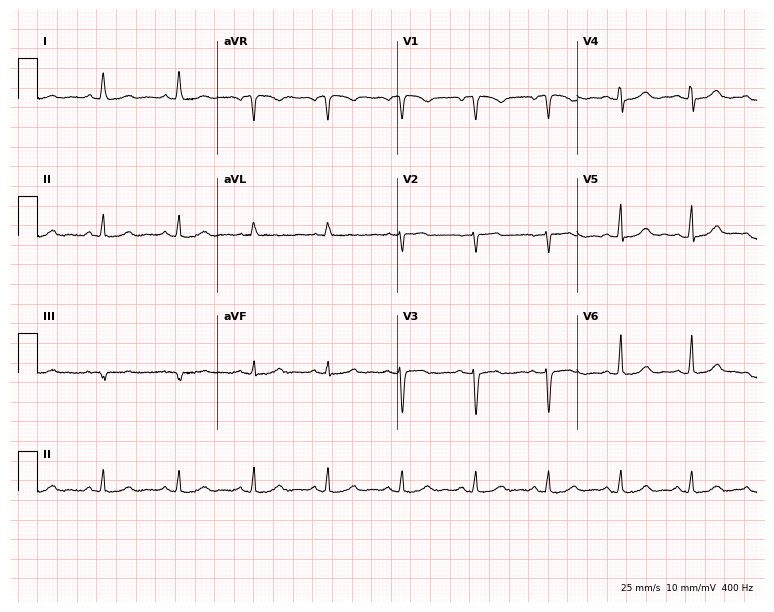
Electrocardiogram (7.3-second recording at 400 Hz), a 58-year-old female patient. Of the six screened findings (first-degree AV block, right bundle branch block (RBBB), left bundle branch block (LBBB), sinus bradycardia, atrial fibrillation (AF), sinus tachycardia), none is recorded.